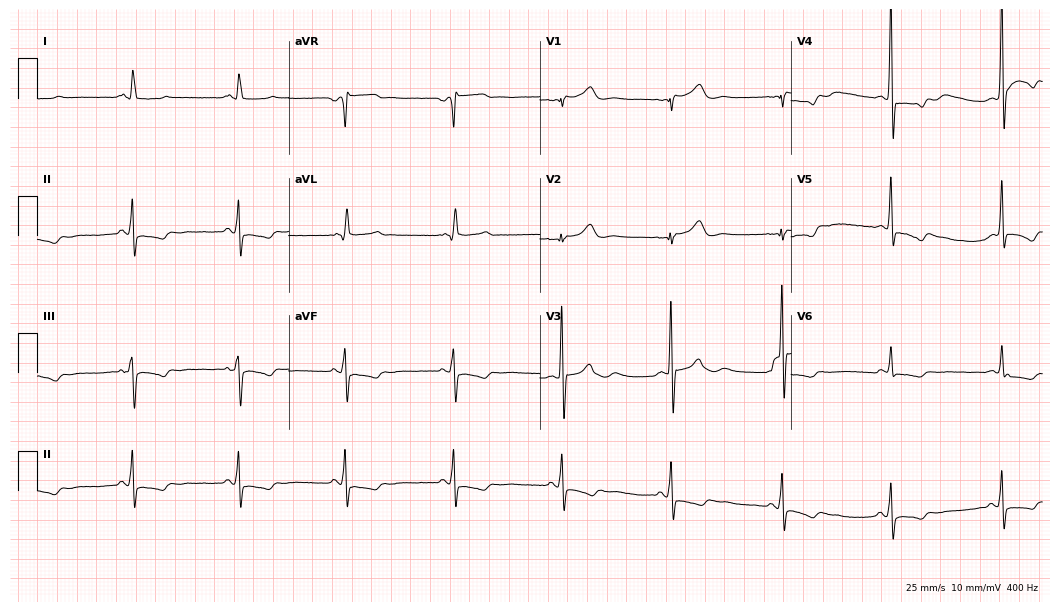
Standard 12-lead ECG recorded from a male, 70 years old (10.2-second recording at 400 Hz). None of these six findings is recorded: first-degree AV block, right bundle branch block (RBBB), left bundle branch block (LBBB), sinus bradycardia, atrial fibrillation (AF), sinus tachycardia.